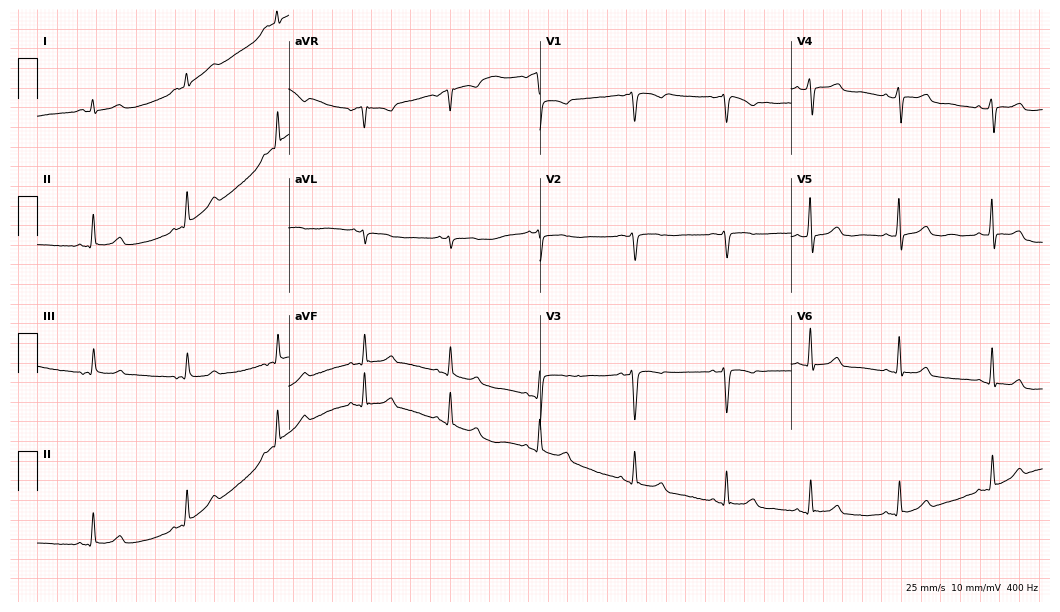
12-lead ECG (10.2-second recording at 400 Hz) from a 38-year-old female. Screened for six findings — first-degree AV block, right bundle branch block, left bundle branch block, sinus bradycardia, atrial fibrillation, sinus tachycardia — none is recorded.